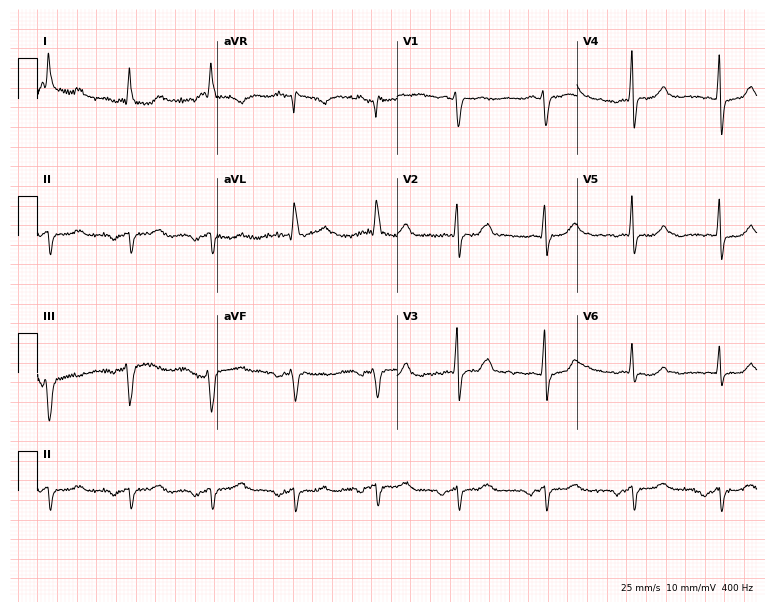
Resting 12-lead electrocardiogram. Patient: a male, 77 years old. None of these six findings is recorded: first-degree AV block, right bundle branch block, left bundle branch block, sinus bradycardia, atrial fibrillation, sinus tachycardia. Only these six findings were labelled.